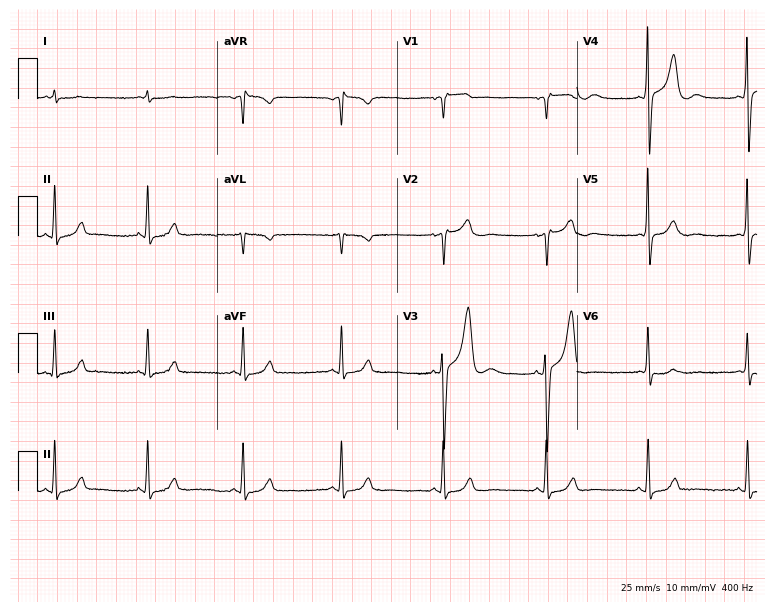
ECG (7.3-second recording at 400 Hz) — a male, 72 years old. Labelled as a normal ECG.